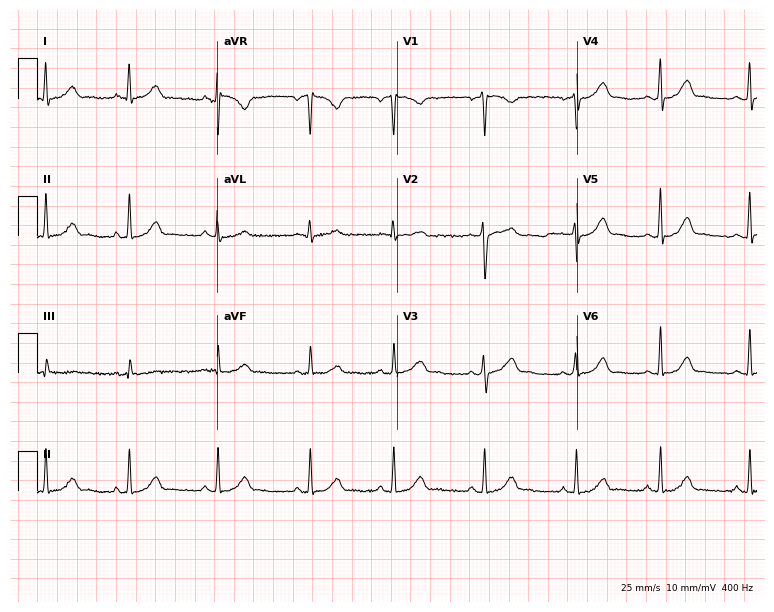
Electrocardiogram (7.3-second recording at 400 Hz), a female patient, 36 years old. Of the six screened findings (first-degree AV block, right bundle branch block (RBBB), left bundle branch block (LBBB), sinus bradycardia, atrial fibrillation (AF), sinus tachycardia), none is recorded.